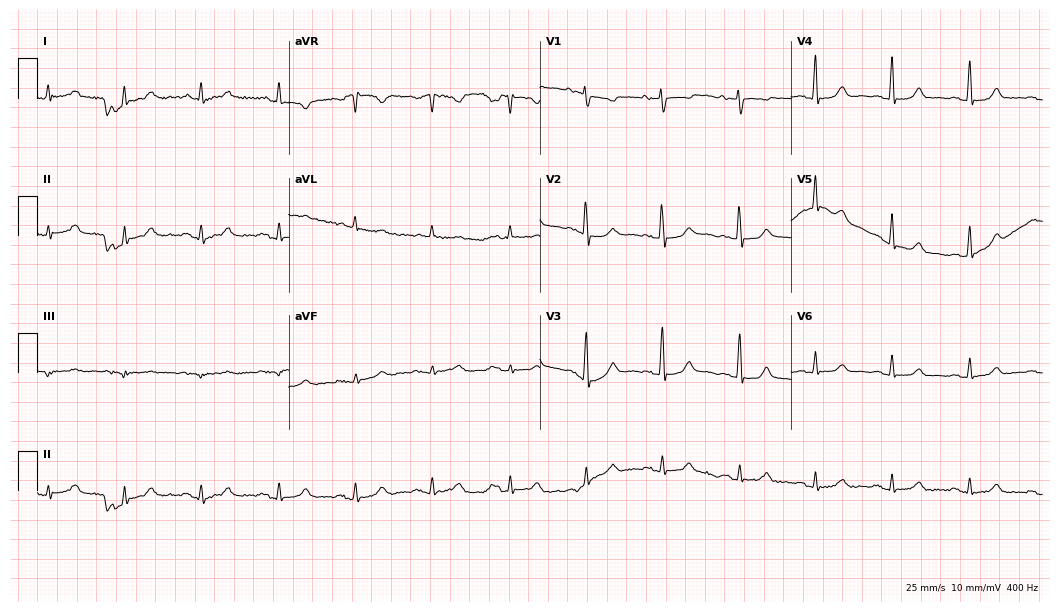
Standard 12-lead ECG recorded from an 85-year-old female patient. Read as a normal ECG.